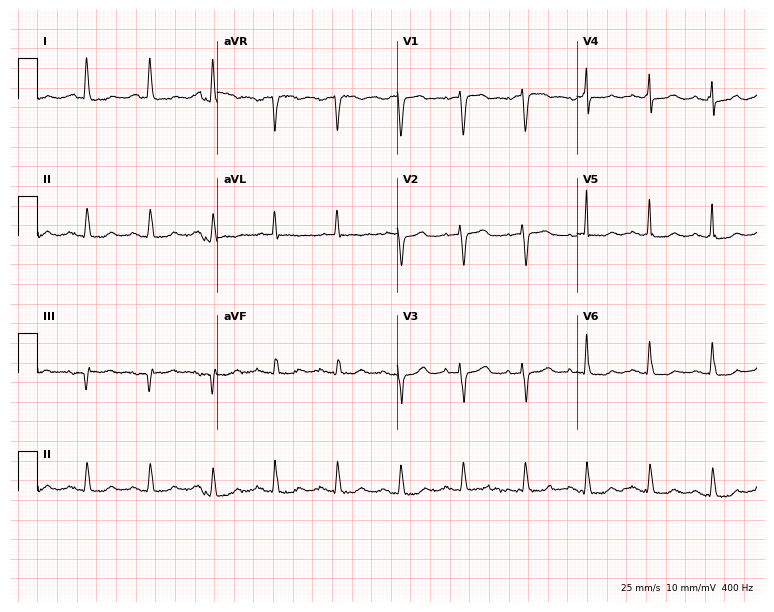
12-lead ECG from a 76-year-old female patient (7.3-second recording at 400 Hz). Recorded interpretation: within normal limits.